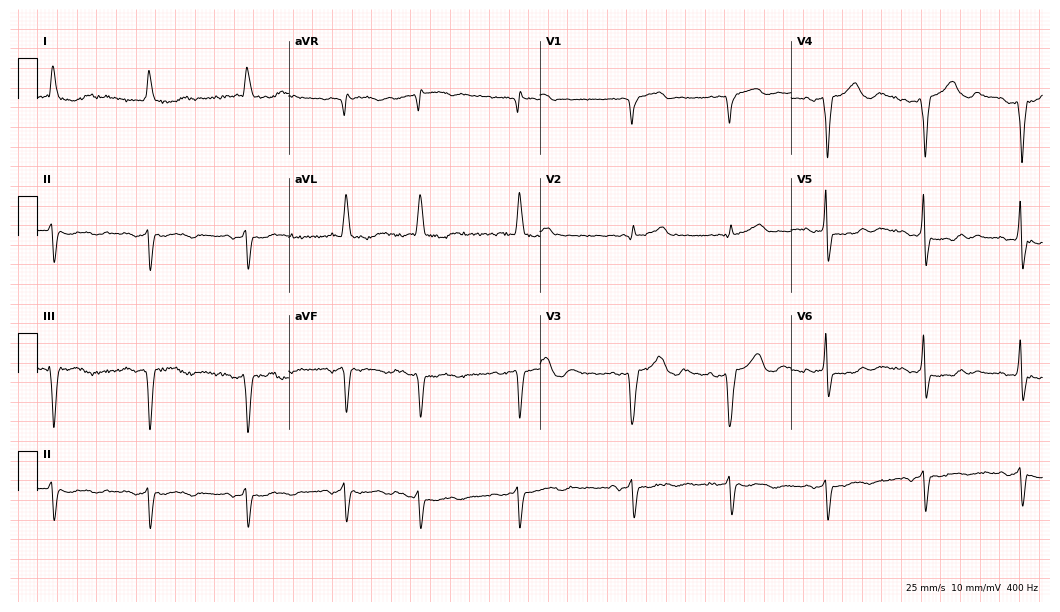
12-lead ECG from an 81-year-old male patient (10.2-second recording at 400 Hz). No first-degree AV block, right bundle branch block, left bundle branch block, sinus bradycardia, atrial fibrillation or sinus tachycardia recorded for this tracing. Findings outside these six are not listed.